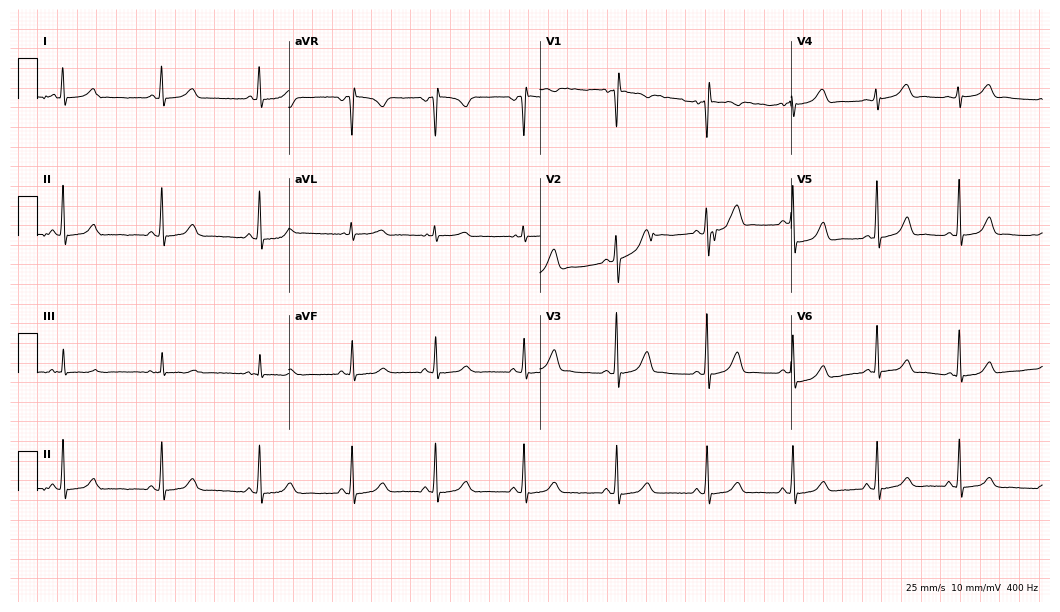
12-lead ECG from a 17-year-old woman. Screened for six findings — first-degree AV block, right bundle branch block, left bundle branch block, sinus bradycardia, atrial fibrillation, sinus tachycardia — none is recorded. Only these six findings were labelled.